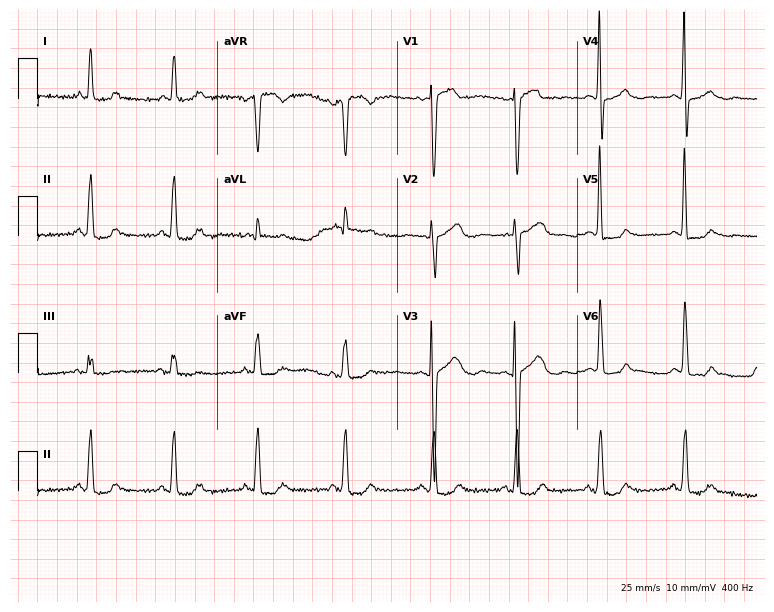
12-lead ECG (7.3-second recording at 400 Hz) from a female, 74 years old. Screened for six findings — first-degree AV block, right bundle branch block, left bundle branch block, sinus bradycardia, atrial fibrillation, sinus tachycardia — none is recorded.